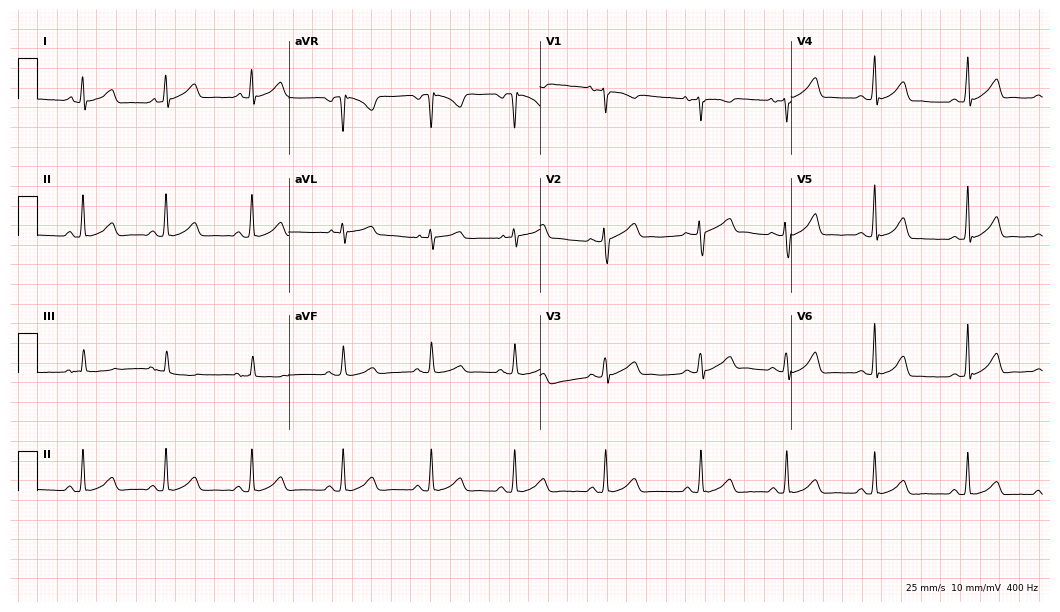
Electrocardiogram (10.2-second recording at 400 Hz), a female patient, 20 years old. Overall reading on record: normal ECG.